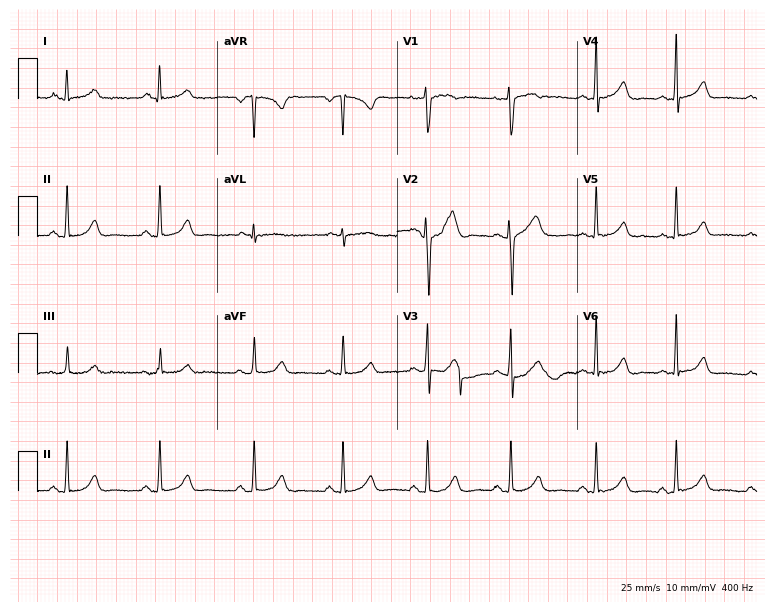
Electrocardiogram, a 22-year-old female patient. Overall reading on record: normal ECG.